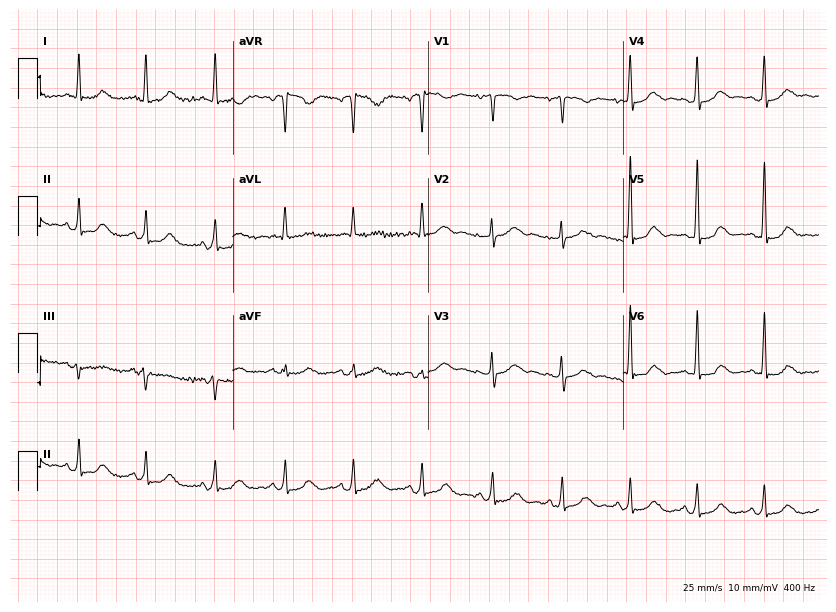
Electrocardiogram, a 56-year-old female patient. Overall reading on record: normal ECG.